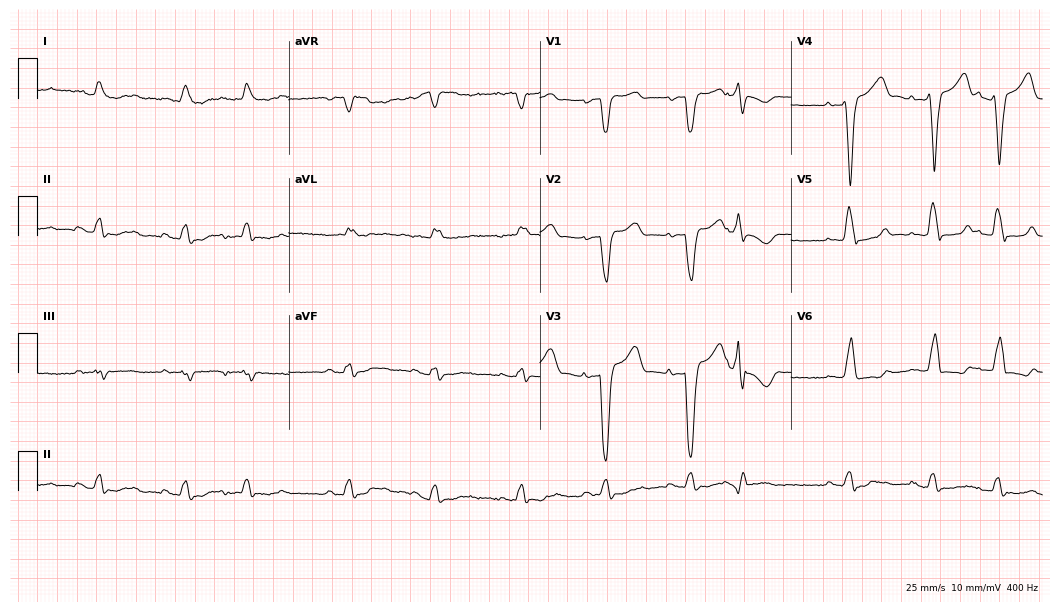
Electrocardiogram (10.2-second recording at 400 Hz), a man, 79 years old. Interpretation includes left bundle branch block.